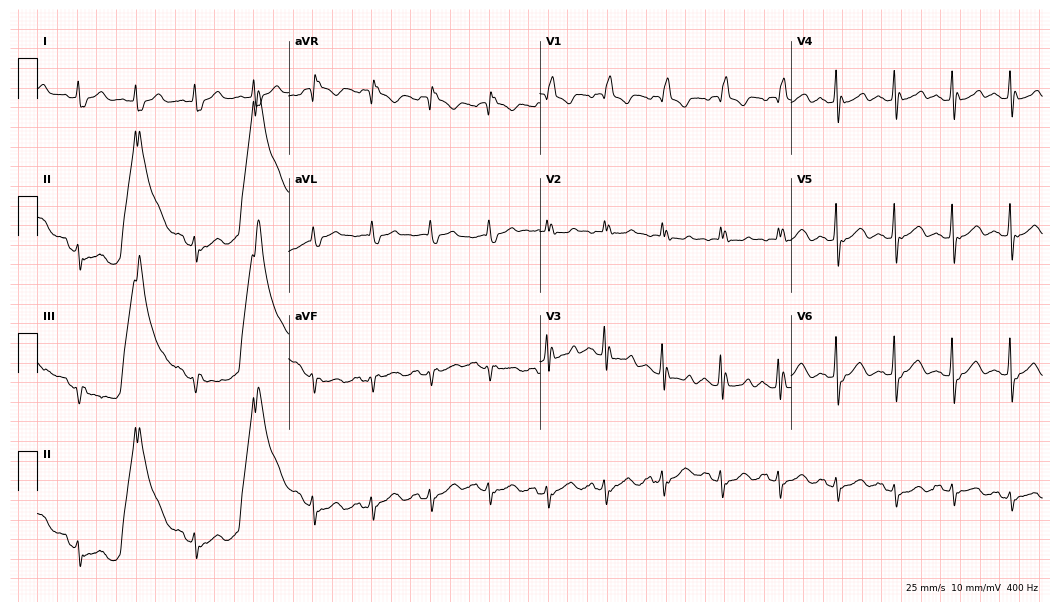
12-lead ECG from an 86-year-old woman. Shows right bundle branch block, sinus tachycardia (a sinus rate of 100 beats per minute or more).